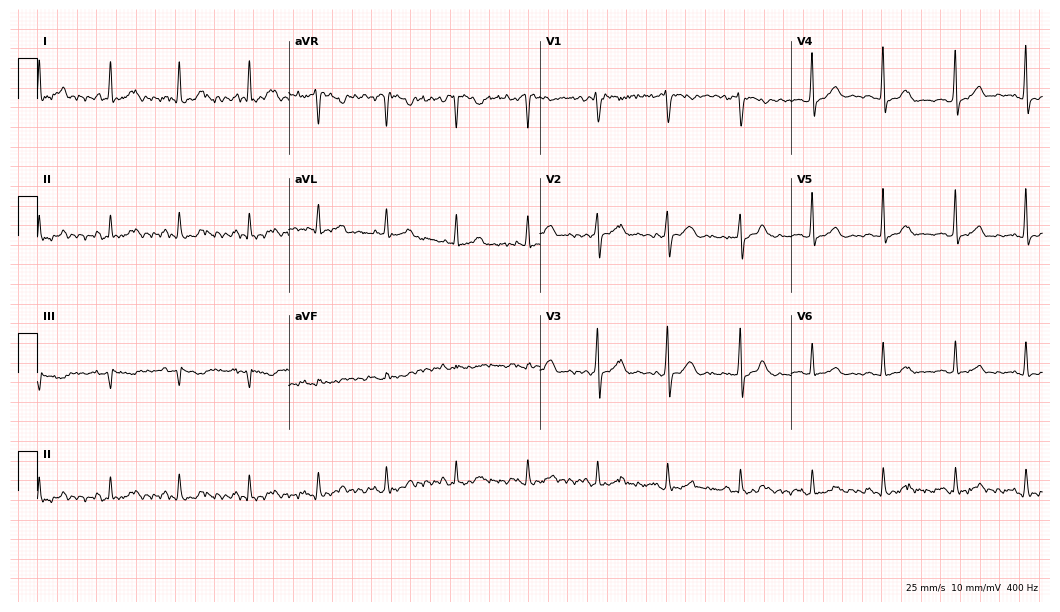
12-lead ECG from a 50-year-old woman (10.2-second recording at 400 Hz). No first-degree AV block, right bundle branch block (RBBB), left bundle branch block (LBBB), sinus bradycardia, atrial fibrillation (AF) or sinus tachycardia recorded for this tracing. Other findings, if any, are not listed.